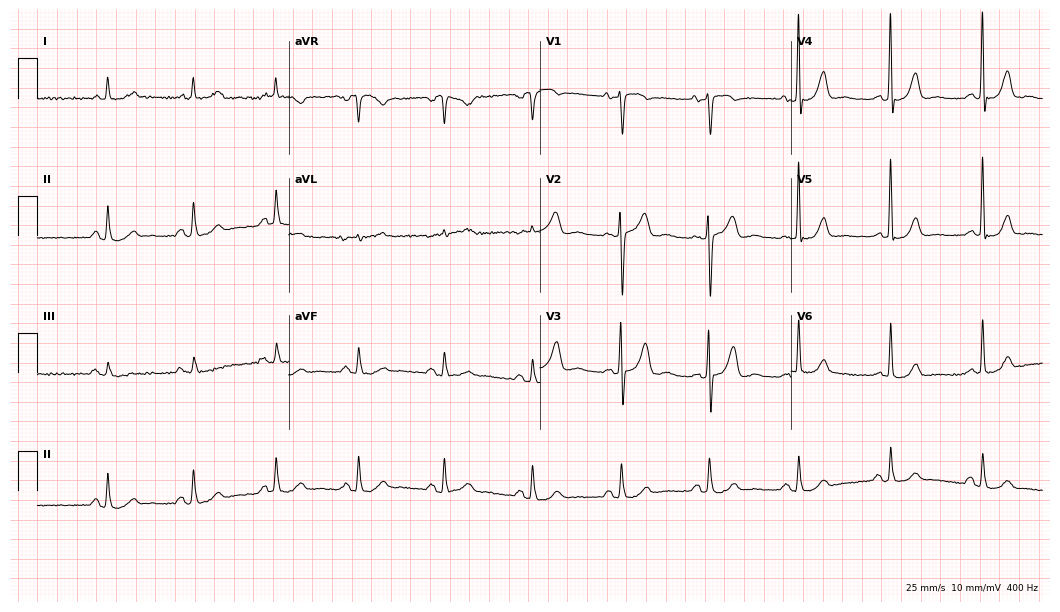
12-lead ECG from a male patient, 81 years old (10.2-second recording at 400 Hz). Recorded interpretation: within normal limits.